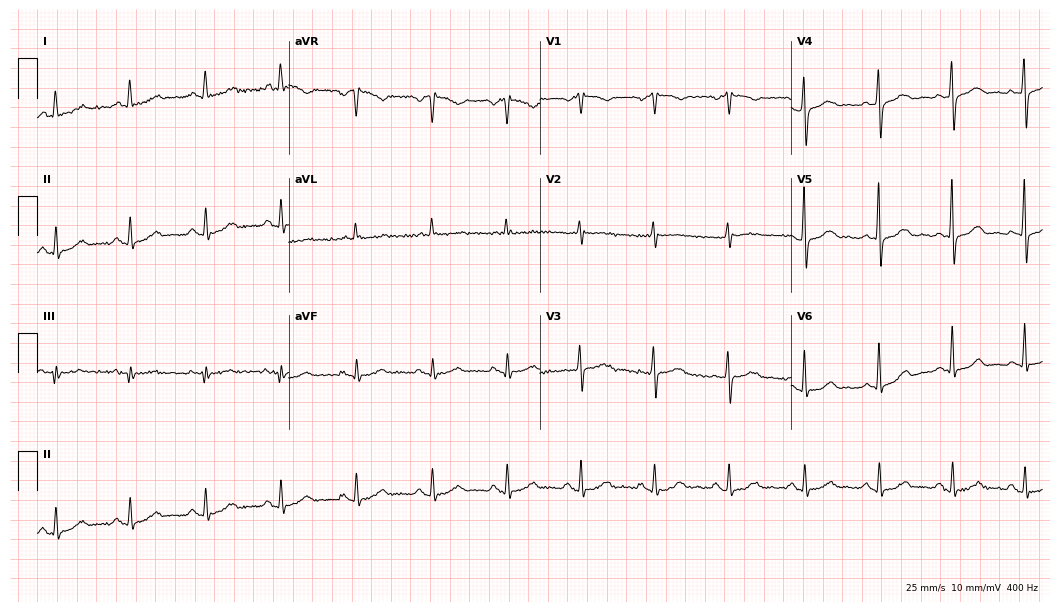
12-lead ECG from a 62-year-old woman. No first-degree AV block, right bundle branch block (RBBB), left bundle branch block (LBBB), sinus bradycardia, atrial fibrillation (AF) or sinus tachycardia recorded for this tracing.